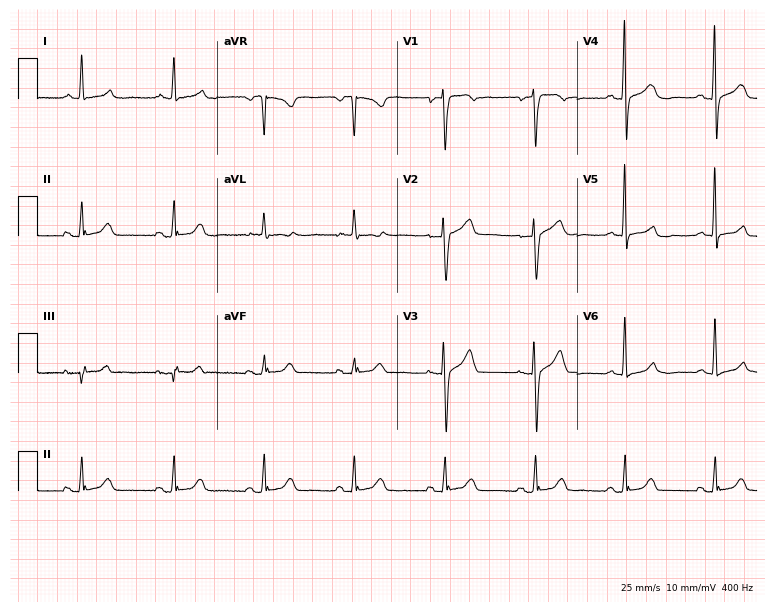
12-lead ECG from an 81-year-old female (7.3-second recording at 400 Hz). Recorded interpretation: within normal limits.